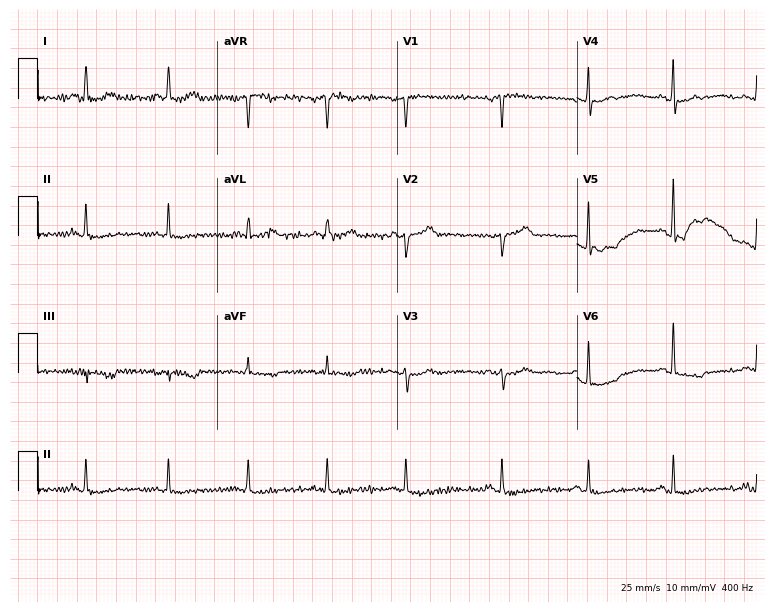
ECG — a female patient, 70 years old. Screened for six findings — first-degree AV block, right bundle branch block (RBBB), left bundle branch block (LBBB), sinus bradycardia, atrial fibrillation (AF), sinus tachycardia — none is recorded. Other findings, if any, are not listed.